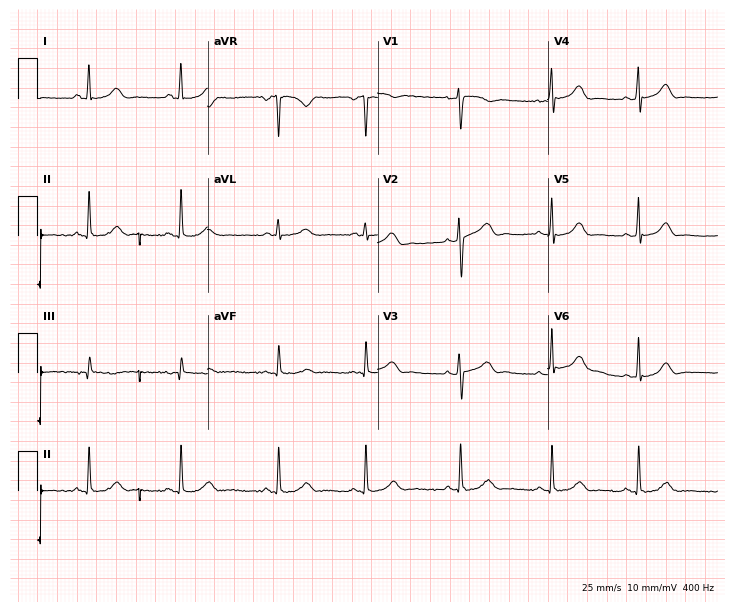
12-lead ECG (6.9-second recording at 400 Hz) from a female, 19 years old. Screened for six findings — first-degree AV block, right bundle branch block, left bundle branch block, sinus bradycardia, atrial fibrillation, sinus tachycardia — none is recorded. Findings outside these six are not listed.